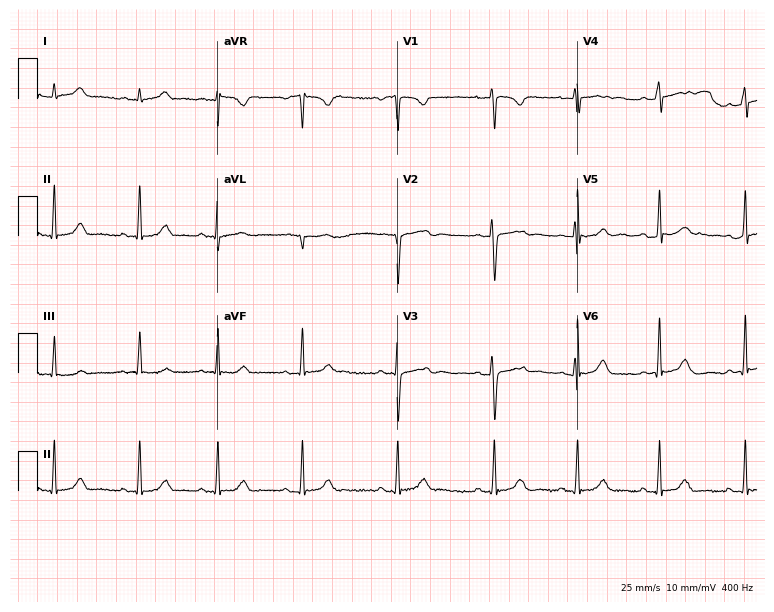
Standard 12-lead ECG recorded from a female patient, 17 years old. None of these six findings is recorded: first-degree AV block, right bundle branch block, left bundle branch block, sinus bradycardia, atrial fibrillation, sinus tachycardia. Other findings, if any, are not listed.